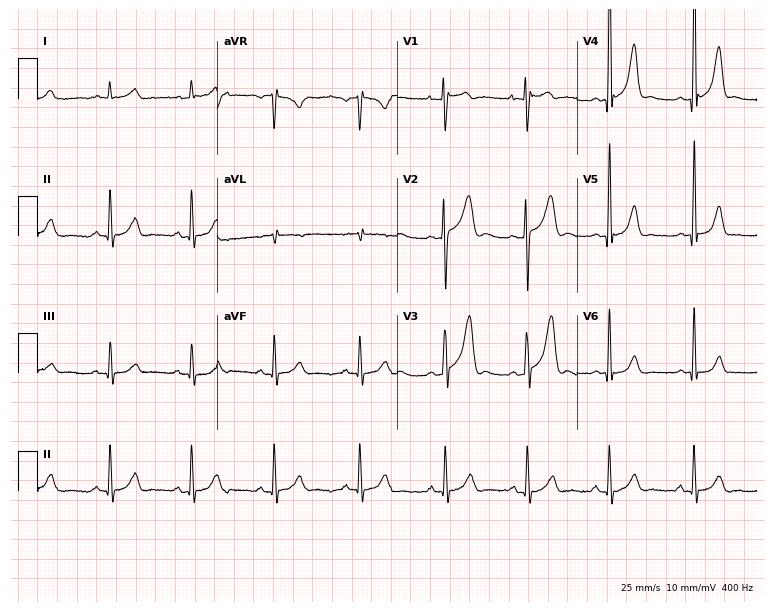
Standard 12-lead ECG recorded from a man, 20 years old (7.3-second recording at 400 Hz). Read as a normal ECG.